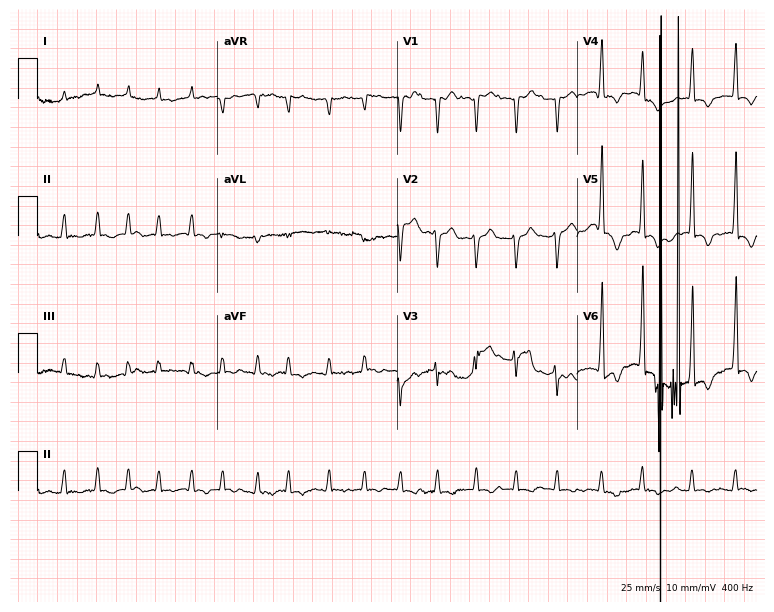
Standard 12-lead ECG recorded from a female patient, 85 years old. The tracing shows atrial fibrillation.